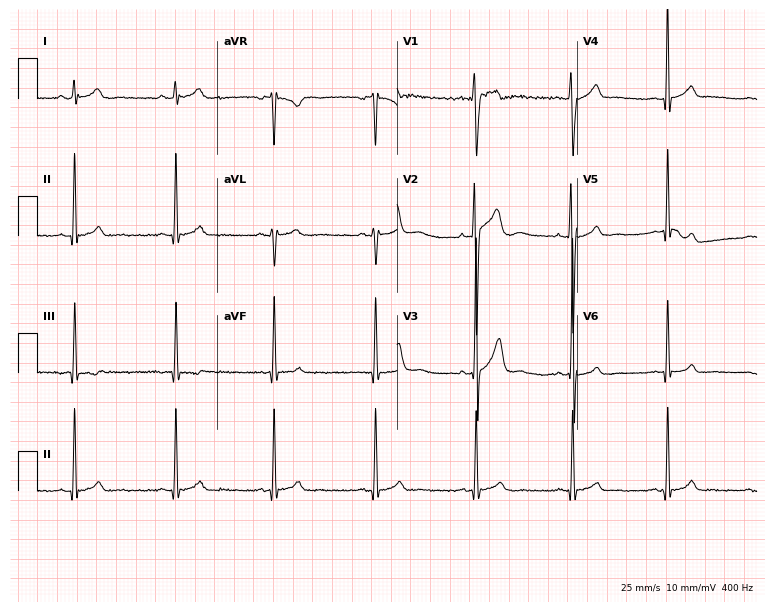
12-lead ECG from a man, 19 years old. Recorded interpretation: within normal limits.